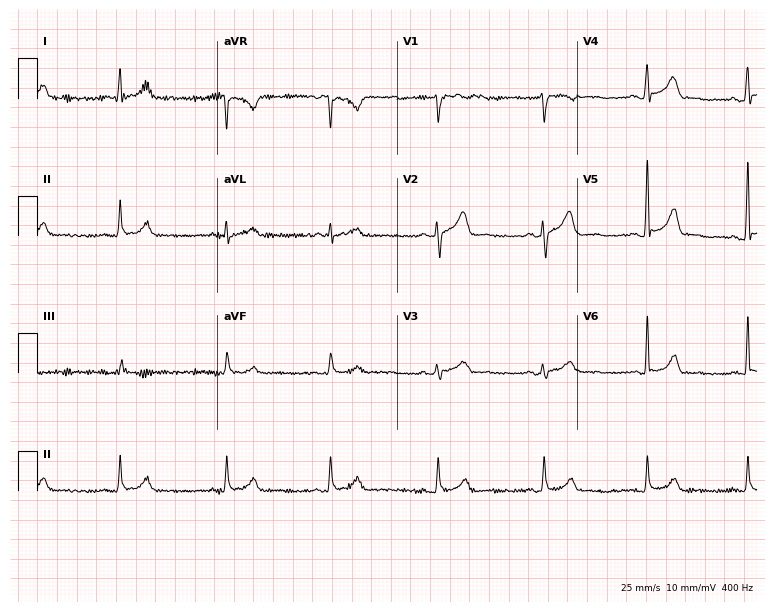
Standard 12-lead ECG recorded from a 45-year-old male patient (7.3-second recording at 400 Hz). None of these six findings is recorded: first-degree AV block, right bundle branch block, left bundle branch block, sinus bradycardia, atrial fibrillation, sinus tachycardia.